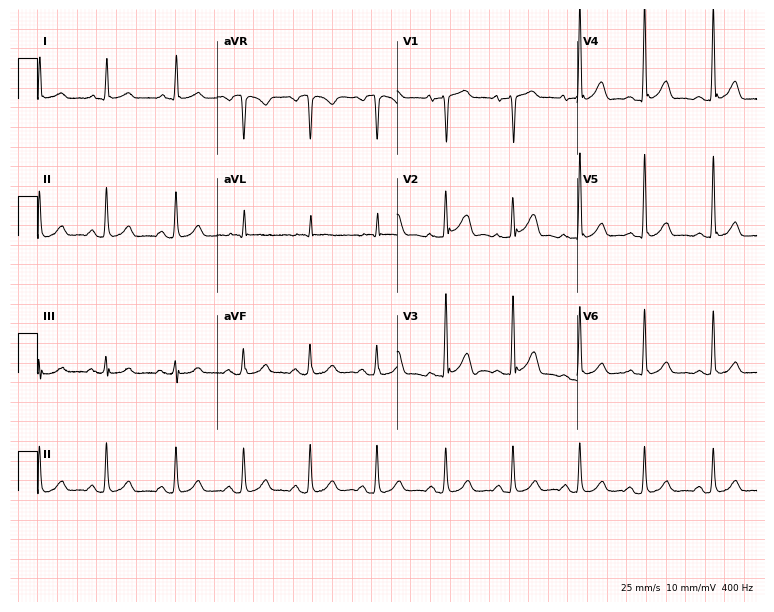
Resting 12-lead electrocardiogram. Patient: a man, 69 years old. Read as a normal ECG.